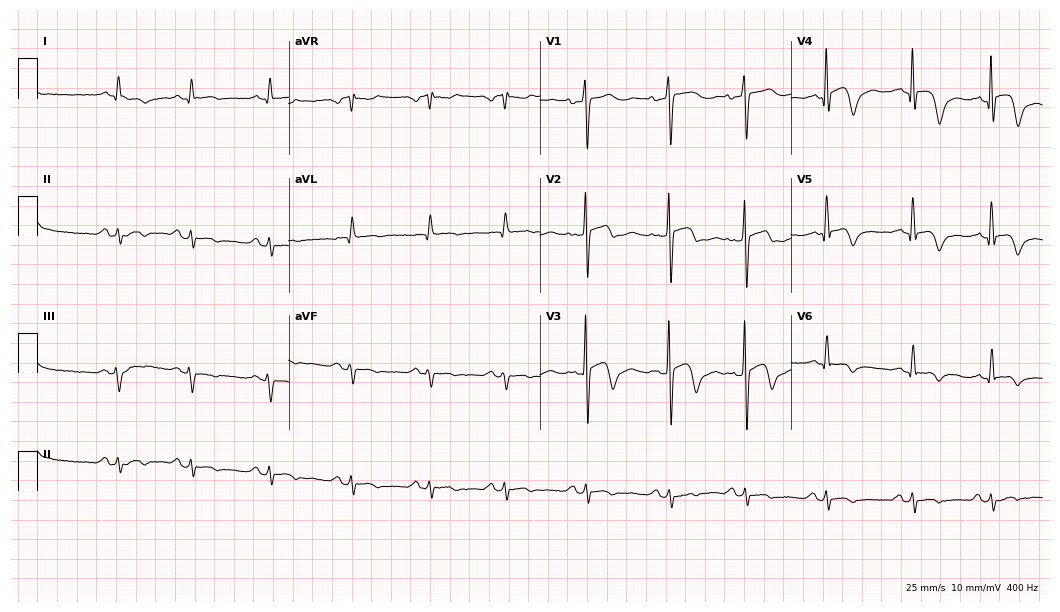
Electrocardiogram (10.2-second recording at 400 Hz), an 80-year-old man. Of the six screened findings (first-degree AV block, right bundle branch block, left bundle branch block, sinus bradycardia, atrial fibrillation, sinus tachycardia), none is recorded. Findings outside these six are not listed.